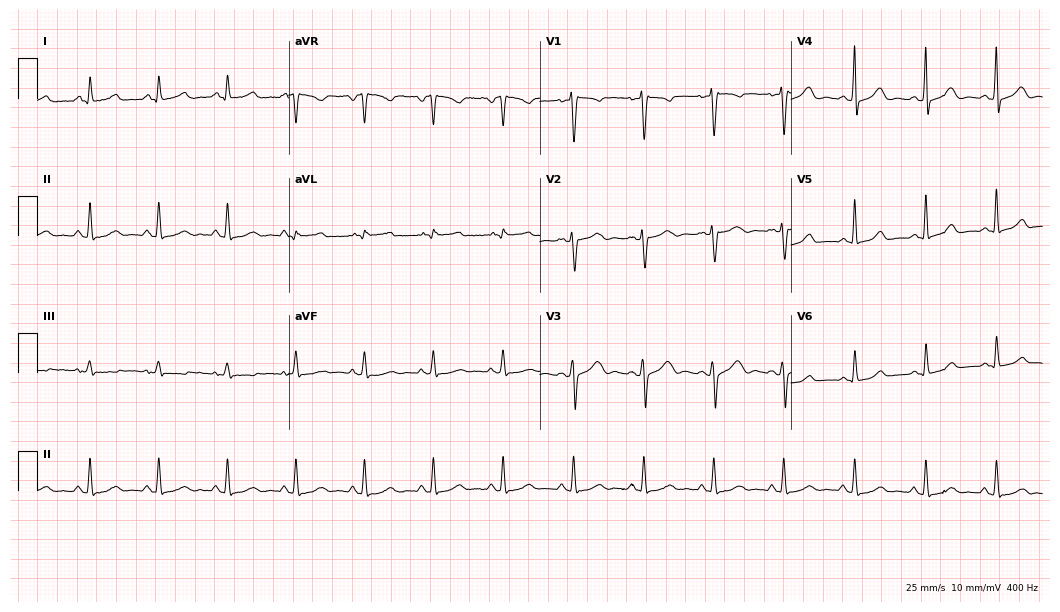
Electrocardiogram, a 44-year-old woman. Overall reading on record: normal ECG.